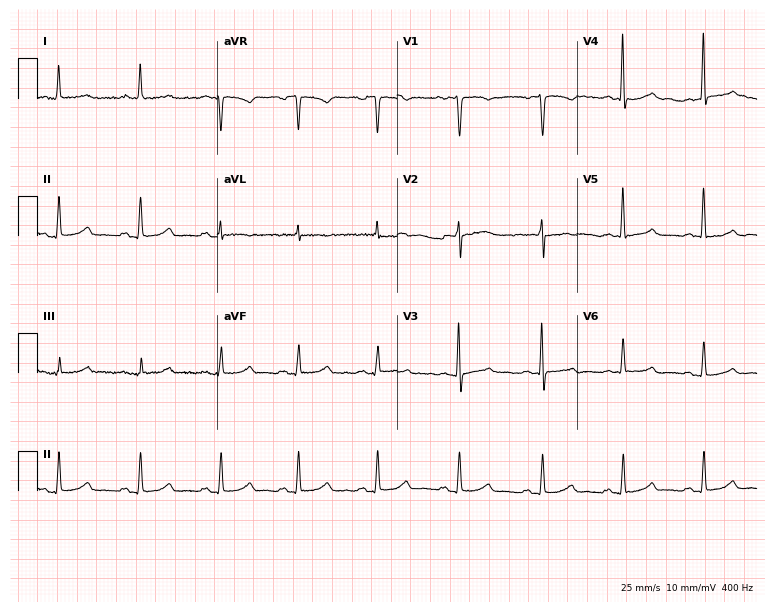
Resting 12-lead electrocardiogram (7.3-second recording at 400 Hz). Patient: a 50-year-old female. None of these six findings is recorded: first-degree AV block, right bundle branch block, left bundle branch block, sinus bradycardia, atrial fibrillation, sinus tachycardia. Other findings, if any, are not listed.